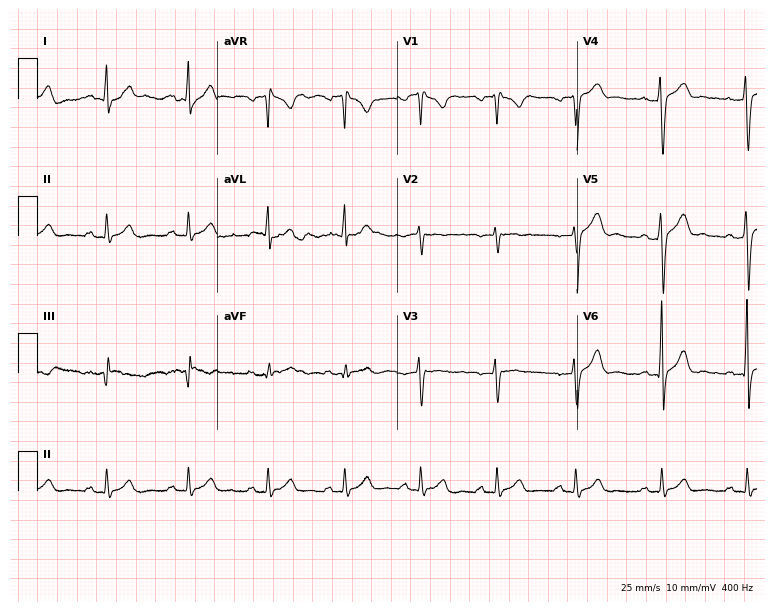
ECG (7.3-second recording at 400 Hz) — a male patient, 26 years old. Labelled as a normal ECG.